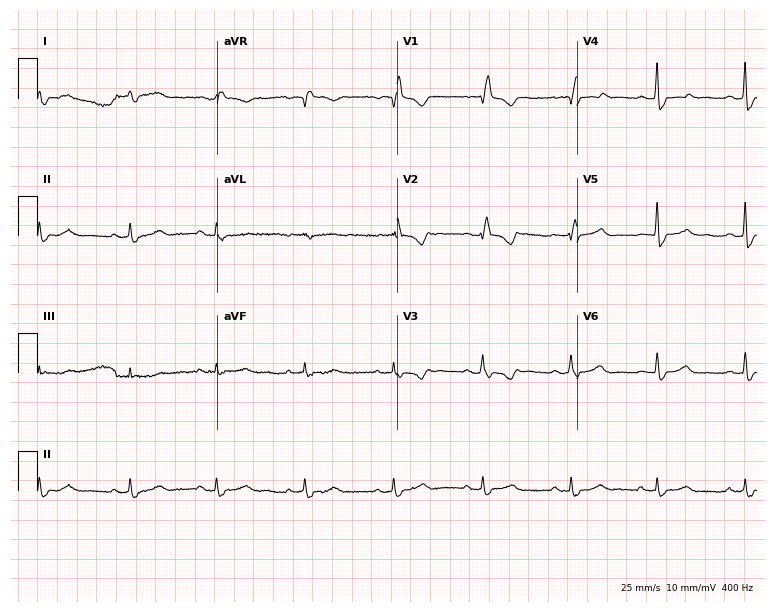
Resting 12-lead electrocardiogram (7.3-second recording at 400 Hz). Patient: a 44-year-old female. The tracing shows right bundle branch block (RBBB).